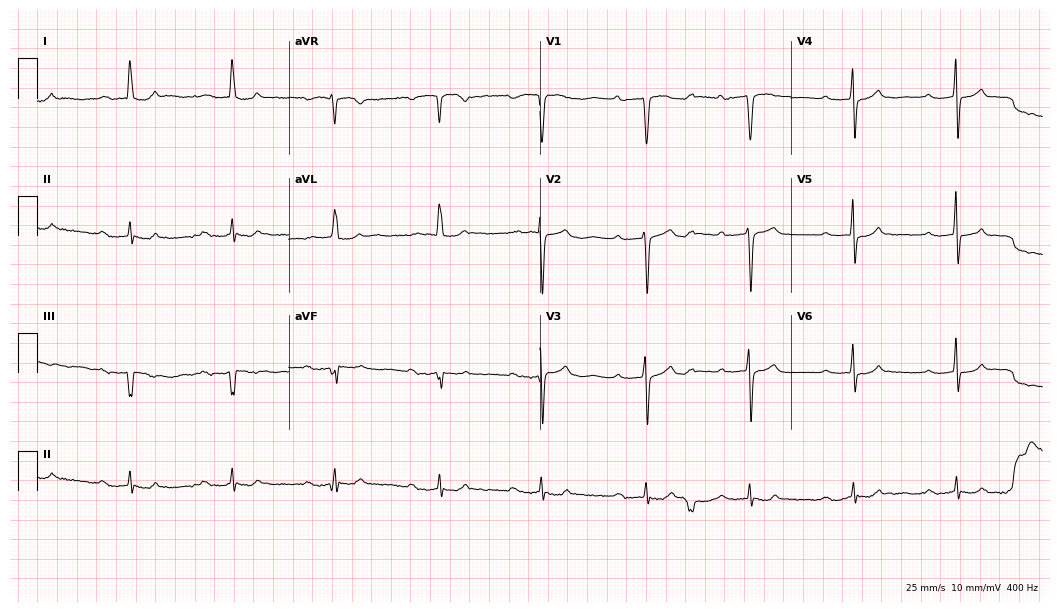
12-lead ECG from a female patient, 69 years old (10.2-second recording at 400 Hz). Shows first-degree AV block.